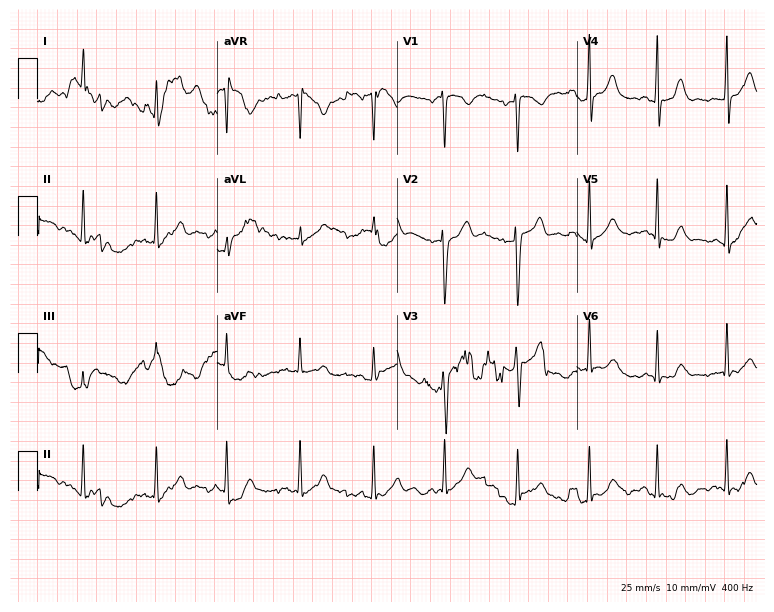
12-lead ECG from a male, 32 years old. No first-degree AV block, right bundle branch block (RBBB), left bundle branch block (LBBB), sinus bradycardia, atrial fibrillation (AF) or sinus tachycardia recorded for this tracing.